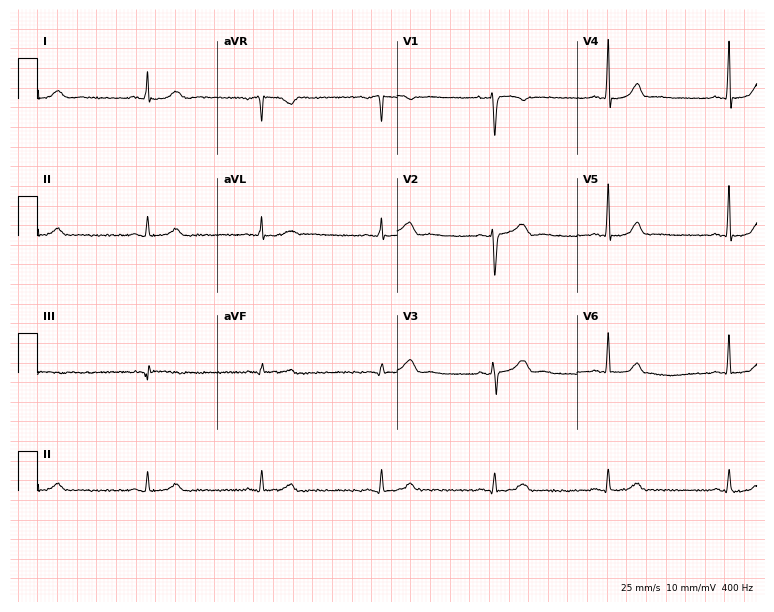
12-lead ECG from a woman, 40 years old. Labelled as a normal ECG.